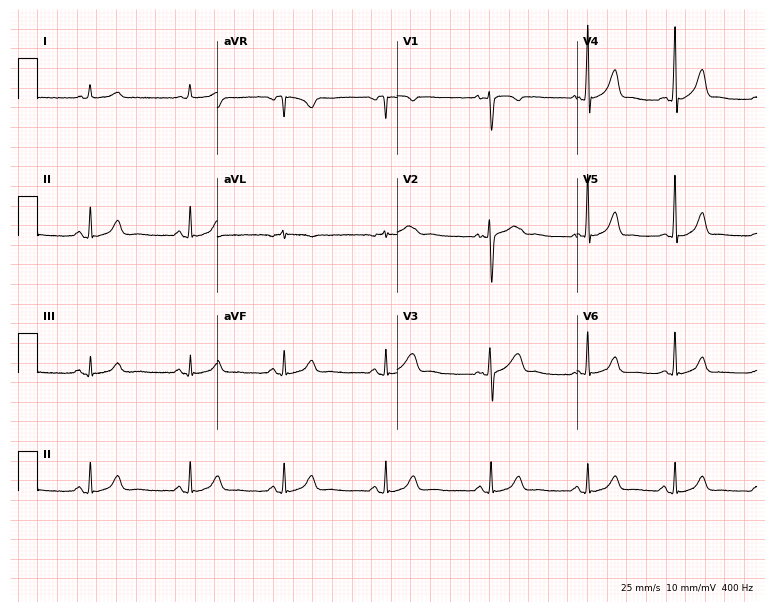
Resting 12-lead electrocardiogram (7.3-second recording at 400 Hz). Patient: a 26-year-old woman. None of these six findings is recorded: first-degree AV block, right bundle branch block, left bundle branch block, sinus bradycardia, atrial fibrillation, sinus tachycardia. Findings outside these six are not listed.